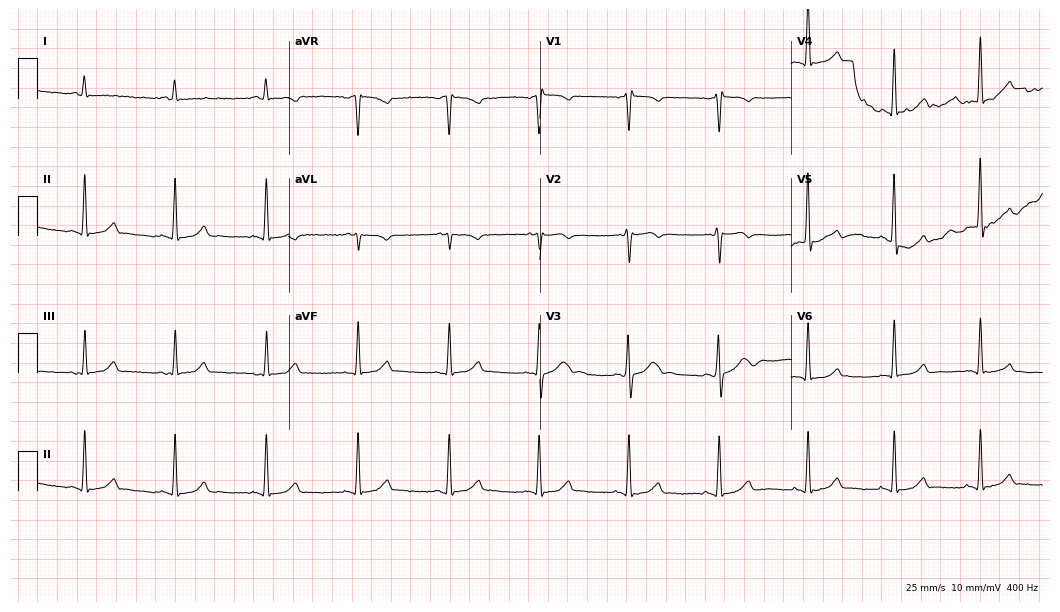
12-lead ECG from a male patient, 42 years old. Labelled as a normal ECG.